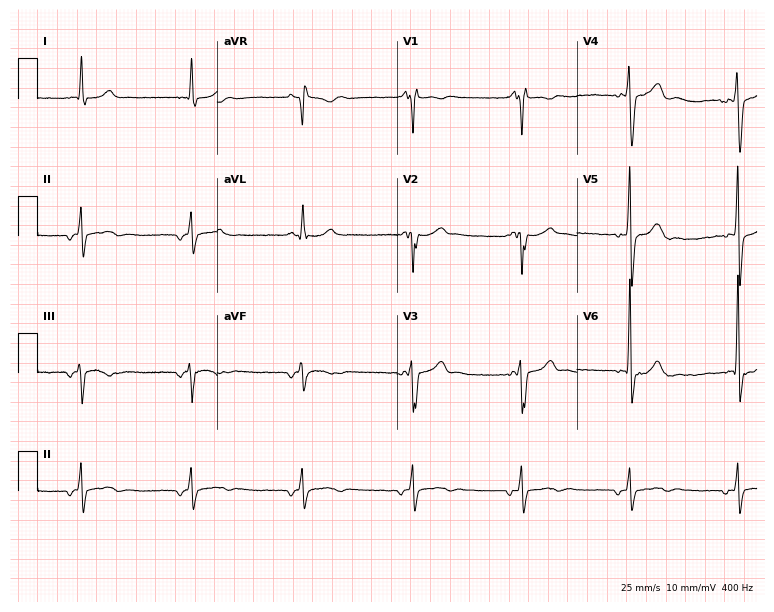
ECG (7.3-second recording at 400 Hz) — a man, 65 years old. Screened for six findings — first-degree AV block, right bundle branch block, left bundle branch block, sinus bradycardia, atrial fibrillation, sinus tachycardia — none is recorded.